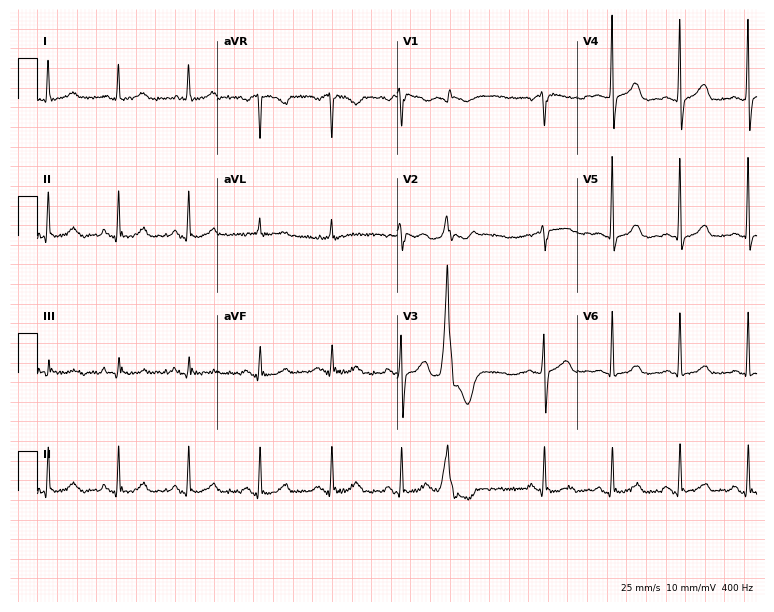
12-lead ECG from a female, 79 years old. No first-degree AV block, right bundle branch block (RBBB), left bundle branch block (LBBB), sinus bradycardia, atrial fibrillation (AF) or sinus tachycardia recorded for this tracing.